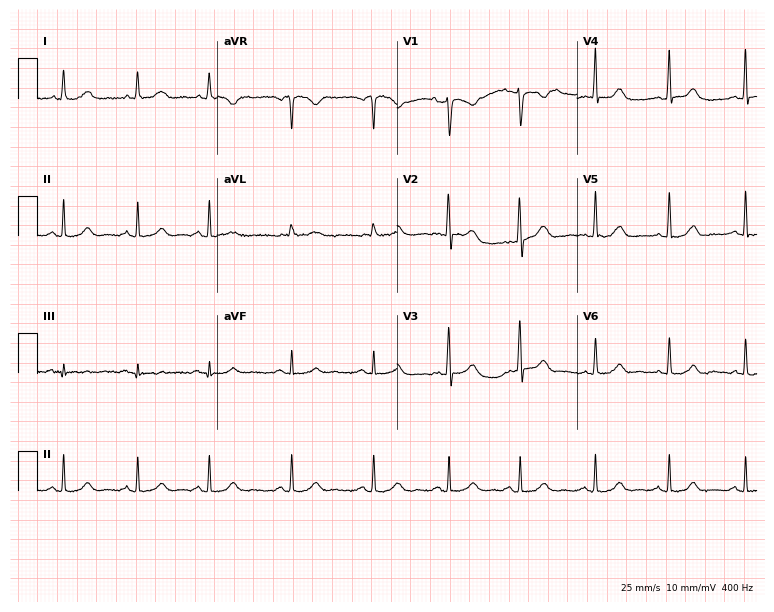
ECG — a 32-year-old female patient. Labelled as a normal ECG.